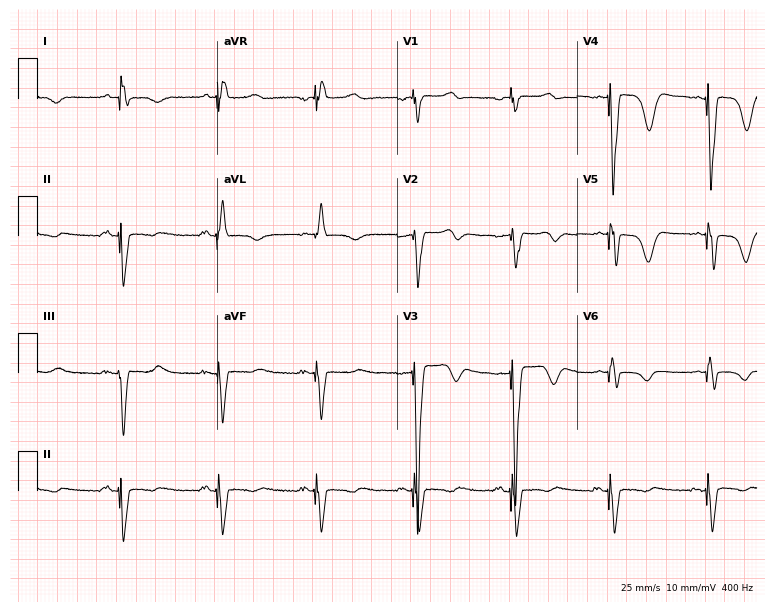
Electrocardiogram, a 62-year-old male patient. Of the six screened findings (first-degree AV block, right bundle branch block (RBBB), left bundle branch block (LBBB), sinus bradycardia, atrial fibrillation (AF), sinus tachycardia), none is recorded.